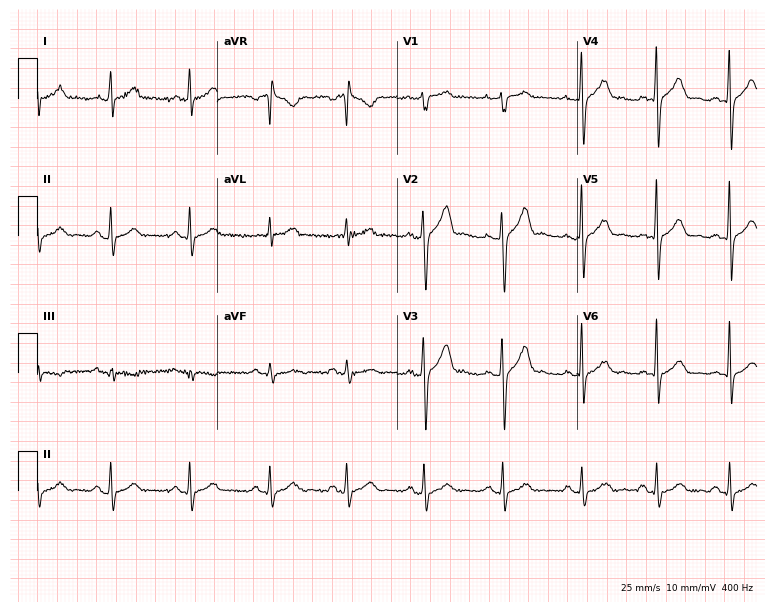
12-lead ECG from a man, 38 years old. Recorded interpretation: within normal limits.